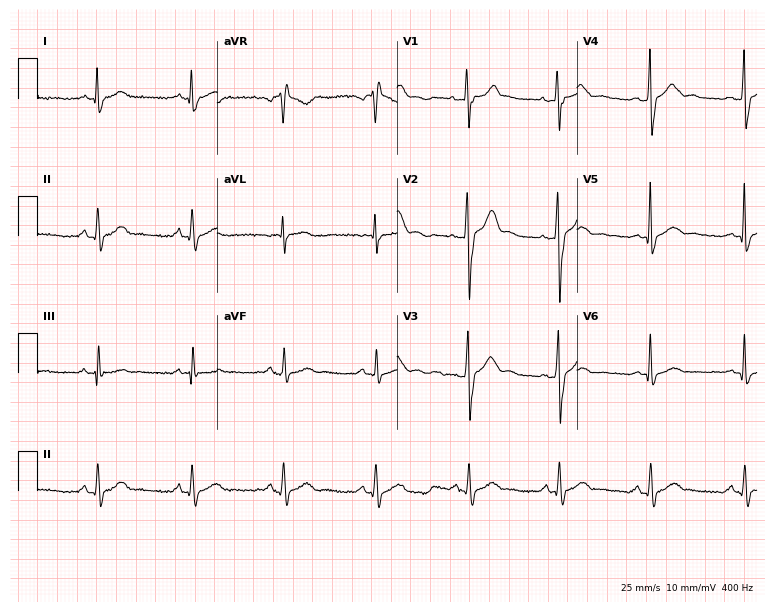
12-lead ECG from a male patient, 27 years old (7.3-second recording at 400 Hz). No first-degree AV block, right bundle branch block (RBBB), left bundle branch block (LBBB), sinus bradycardia, atrial fibrillation (AF) or sinus tachycardia recorded for this tracing.